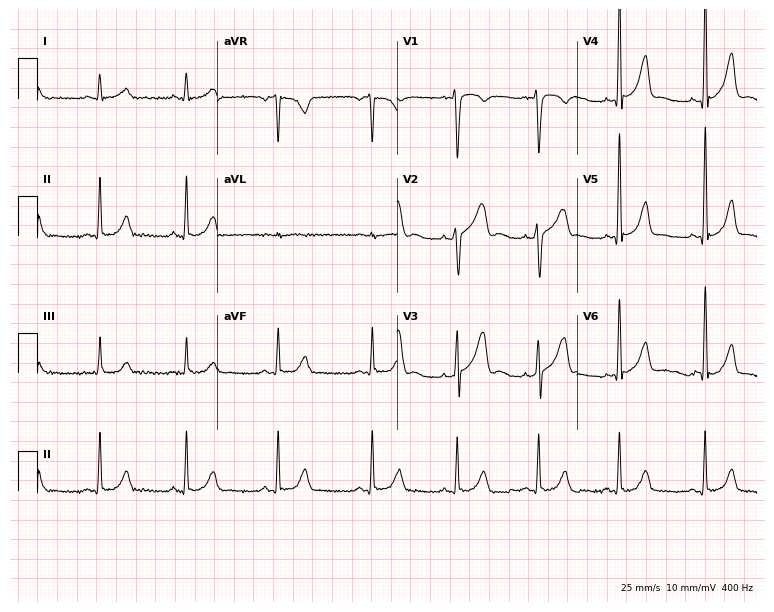
12-lead ECG from a male, 29 years old (7.3-second recording at 400 Hz). Recorded interpretation: within normal limits.